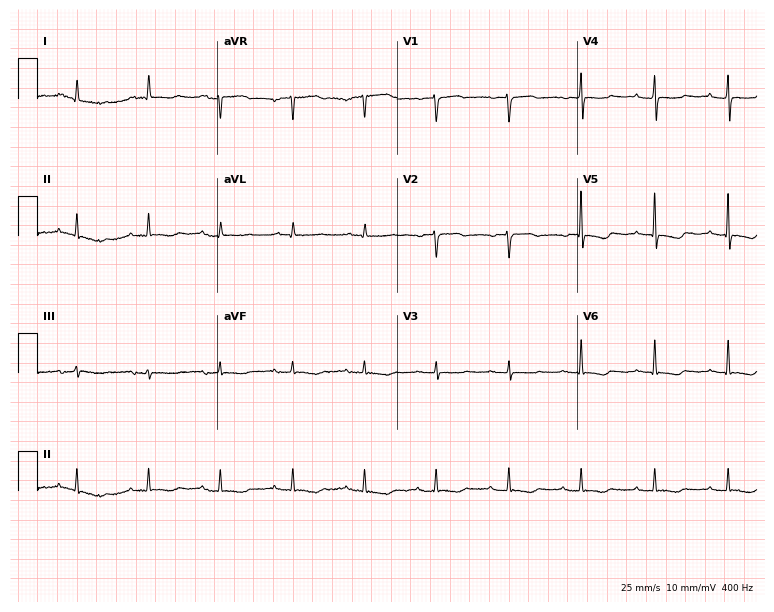
12-lead ECG from a 78-year-old female patient. Screened for six findings — first-degree AV block, right bundle branch block, left bundle branch block, sinus bradycardia, atrial fibrillation, sinus tachycardia — none is recorded.